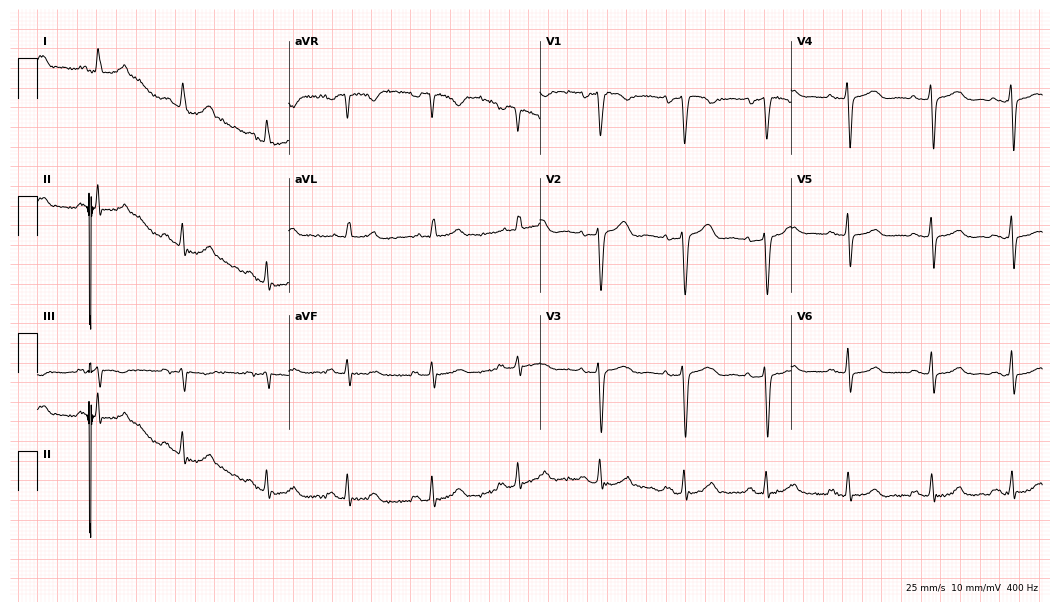
Electrocardiogram (10.2-second recording at 400 Hz), a 50-year-old woman. Of the six screened findings (first-degree AV block, right bundle branch block, left bundle branch block, sinus bradycardia, atrial fibrillation, sinus tachycardia), none is recorded. Other findings, if any, are not listed.